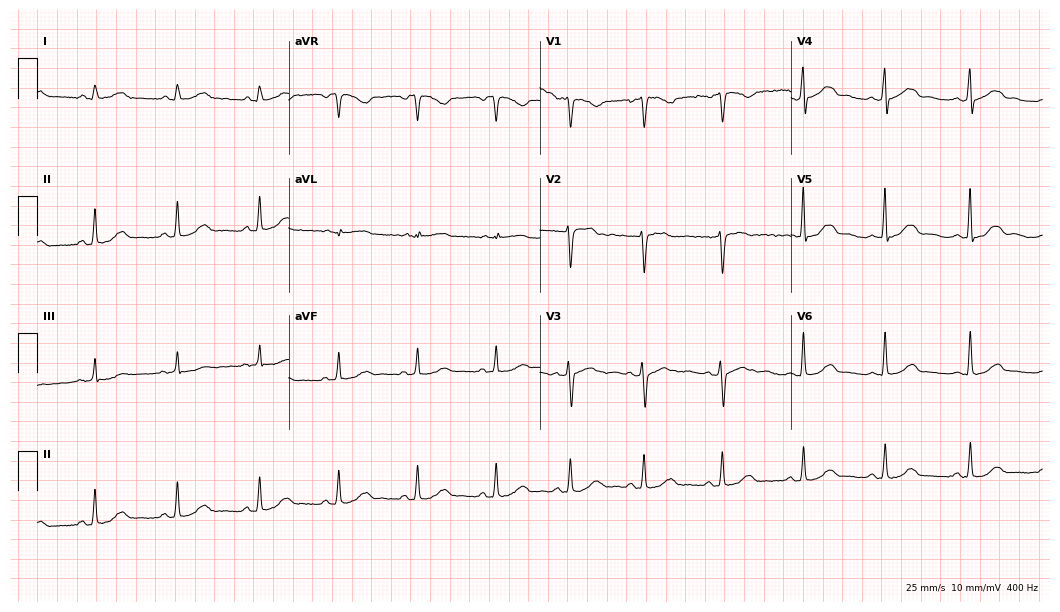
Standard 12-lead ECG recorded from a 40-year-old female (10.2-second recording at 400 Hz). None of these six findings is recorded: first-degree AV block, right bundle branch block (RBBB), left bundle branch block (LBBB), sinus bradycardia, atrial fibrillation (AF), sinus tachycardia.